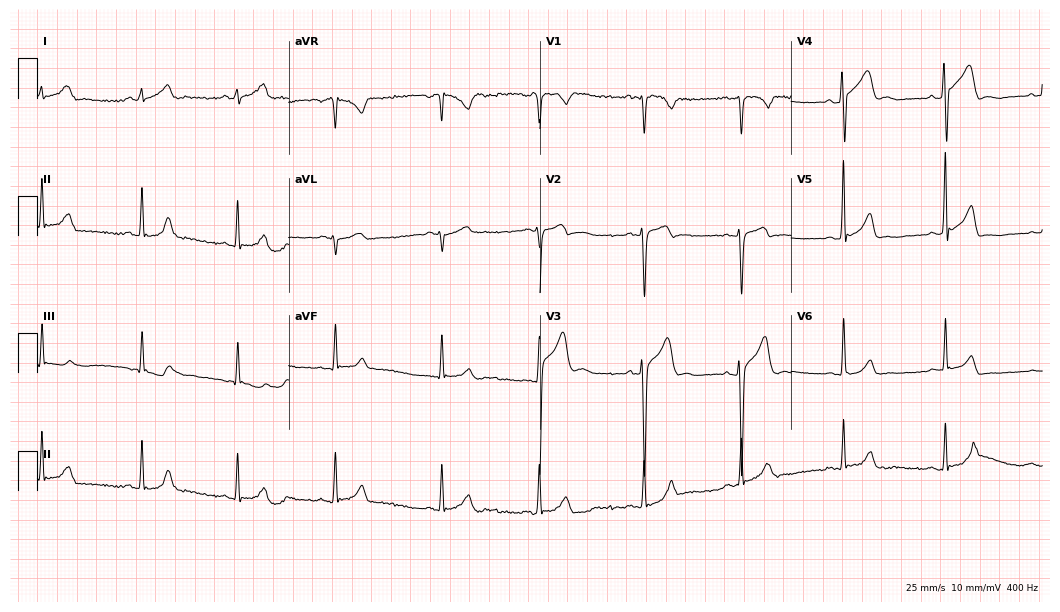
12-lead ECG from a man, 18 years old. No first-degree AV block, right bundle branch block, left bundle branch block, sinus bradycardia, atrial fibrillation or sinus tachycardia recorded for this tracing. Other findings, if any, are not listed.